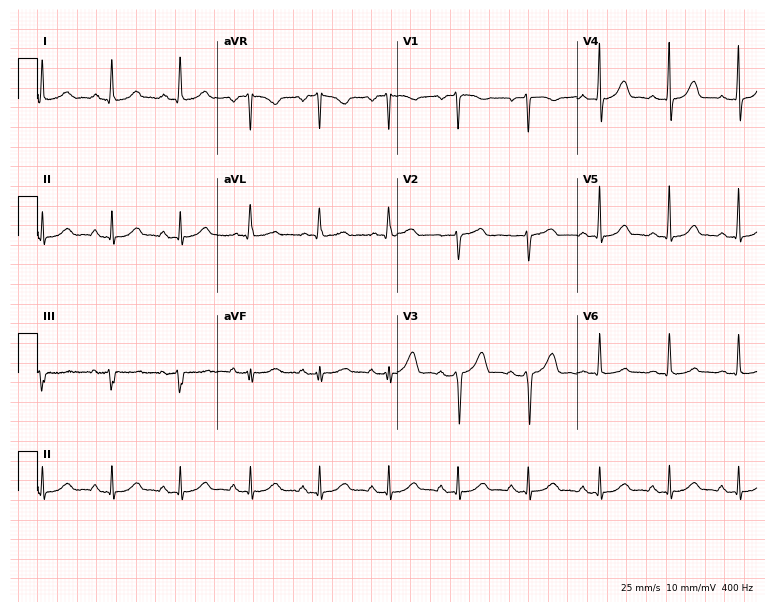
12-lead ECG from a 49-year-old female. No first-degree AV block, right bundle branch block, left bundle branch block, sinus bradycardia, atrial fibrillation or sinus tachycardia recorded for this tracing.